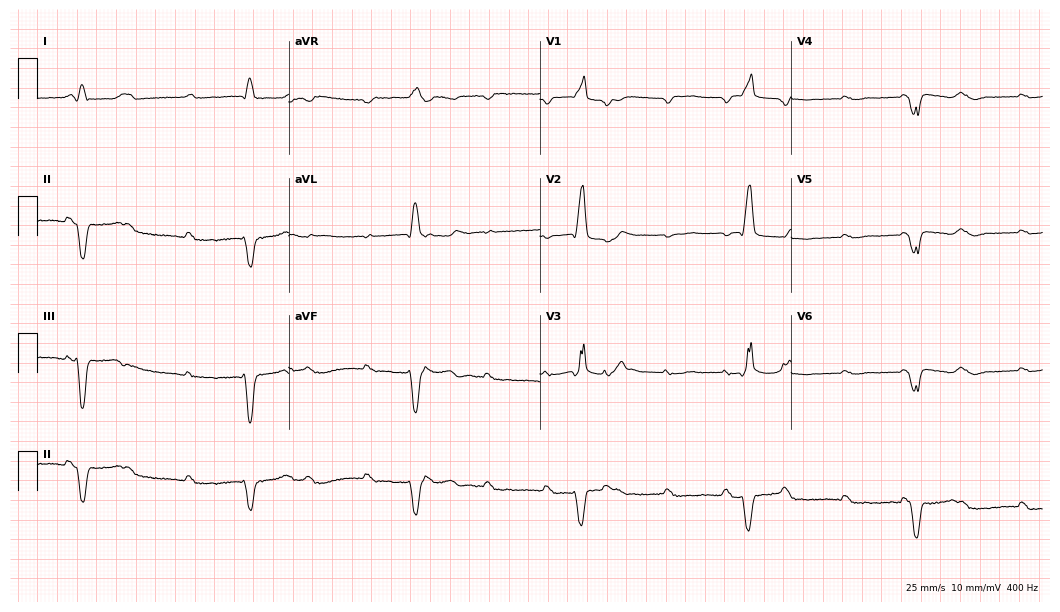
ECG (10.2-second recording at 400 Hz) — a 79-year-old male patient. Findings include first-degree AV block, right bundle branch block.